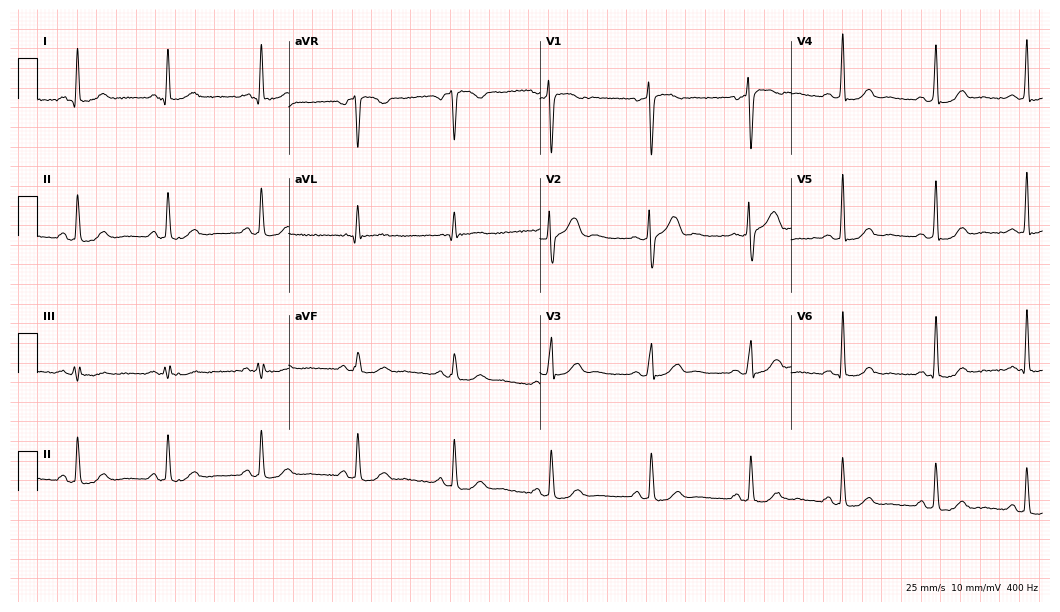
12-lead ECG from a male, 47 years old. Recorded interpretation: within normal limits.